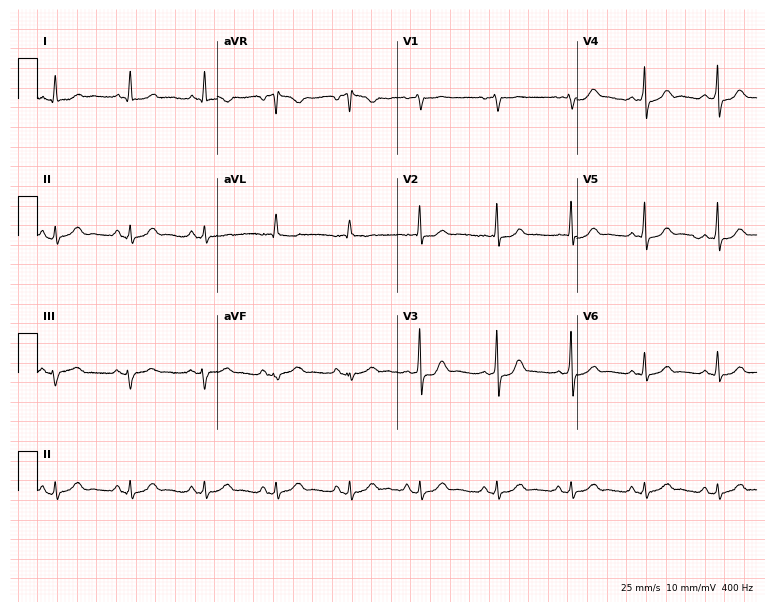
Resting 12-lead electrocardiogram (7.3-second recording at 400 Hz). Patient: a man, 56 years old. Read as a normal ECG.